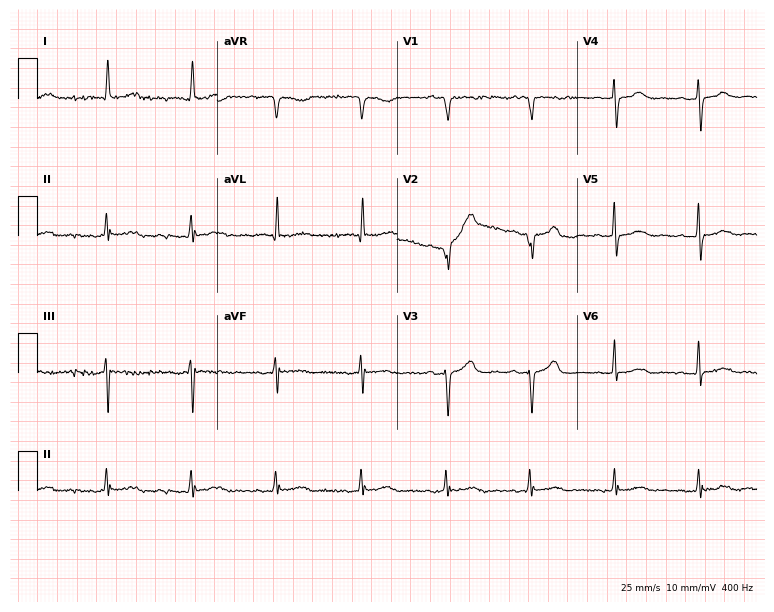
ECG (7.3-second recording at 400 Hz) — a male patient, 82 years old. Screened for six findings — first-degree AV block, right bundle branch block (RBBB), left bundle branch block (LBBB), sinus bradycardia, atrial fibrillation (AF), sinus tachycardia — none is recorded. Other findings, if any, are not listed.